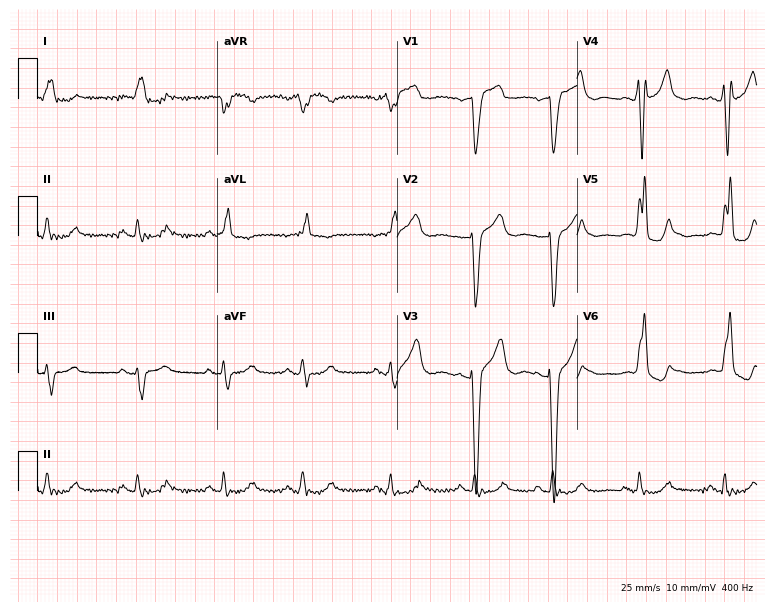
12-lead ECG (7.3-second recording at 400 Hz) from a woman, 79 years old. Findings include left bundle branch block.